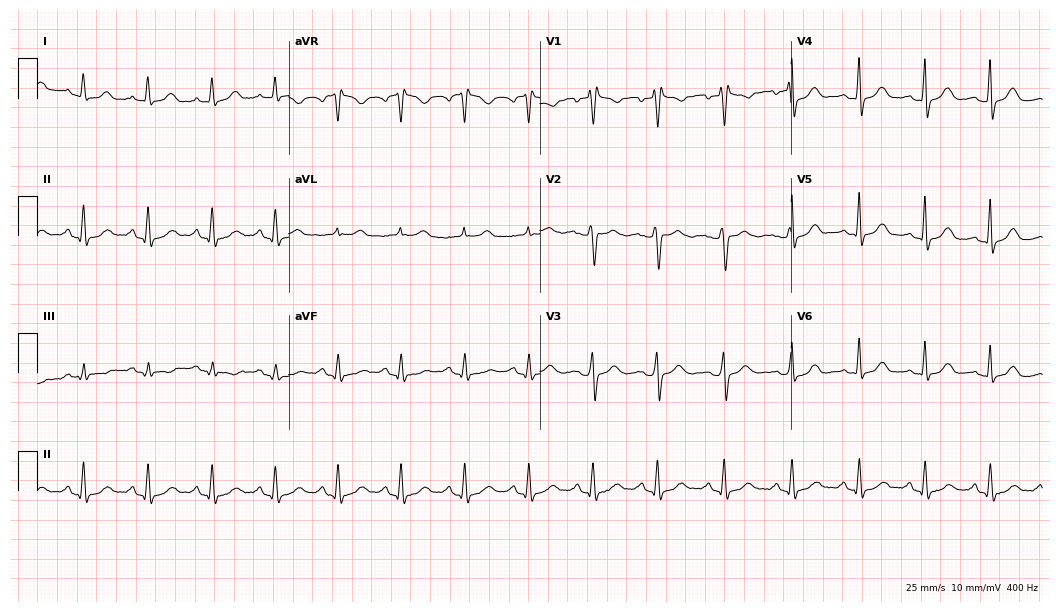
Resting 12-lead electrocardiogram. Patient: a 45-year-old female. None of these six findings is recorded: first-degree AV block, right bundle branch block, left bundle branch block, sinus bradycardia, atrial fibrillation, sinus tachycardia. Findings outside these six are not listed.